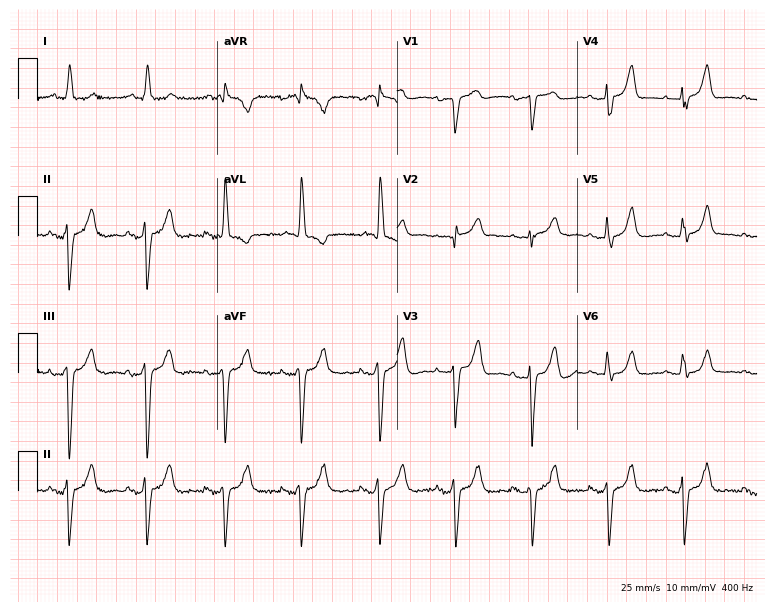
12-lead ECG from a female patient, 79 years old. No first-degree AV block, right bundle branch block, left bundle branch block, sinus bradycardia, atrial fibrillation or sinus tachycardia recorded for this tracing. Other findings, if any, are not listed.